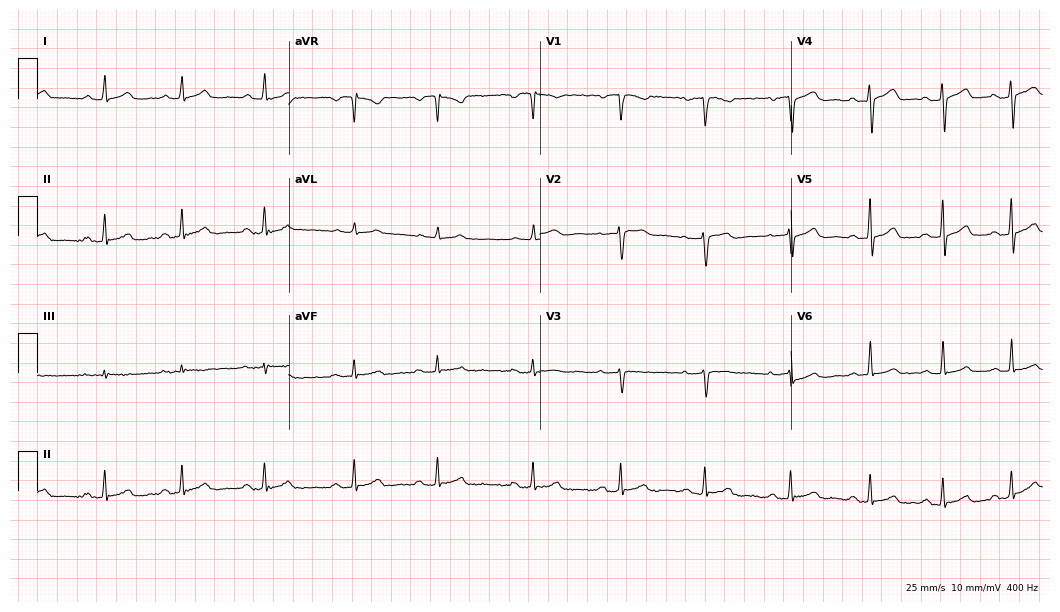
Resting 12-lead electrocardiogram. Patient: a 43-year-old female. Read as a normal ECG.